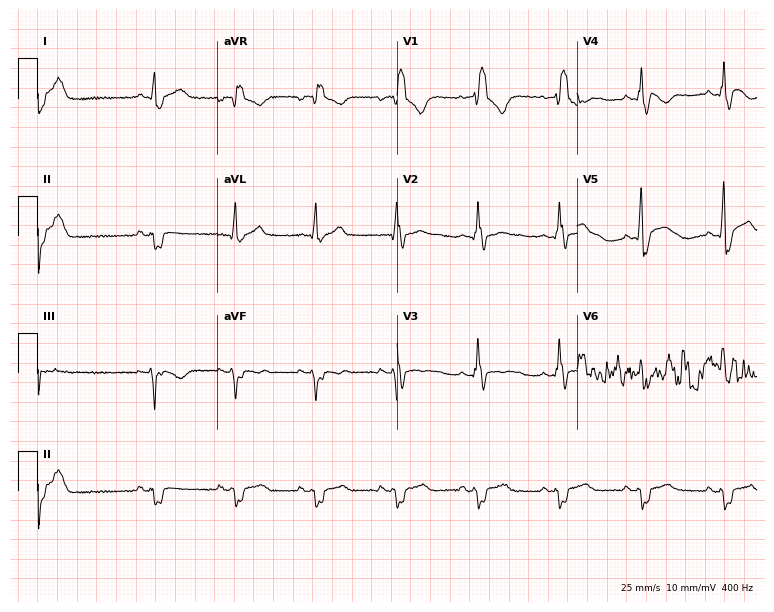
ECG — a 45-year-old man. Findings include right bundle branch block (RBBB).